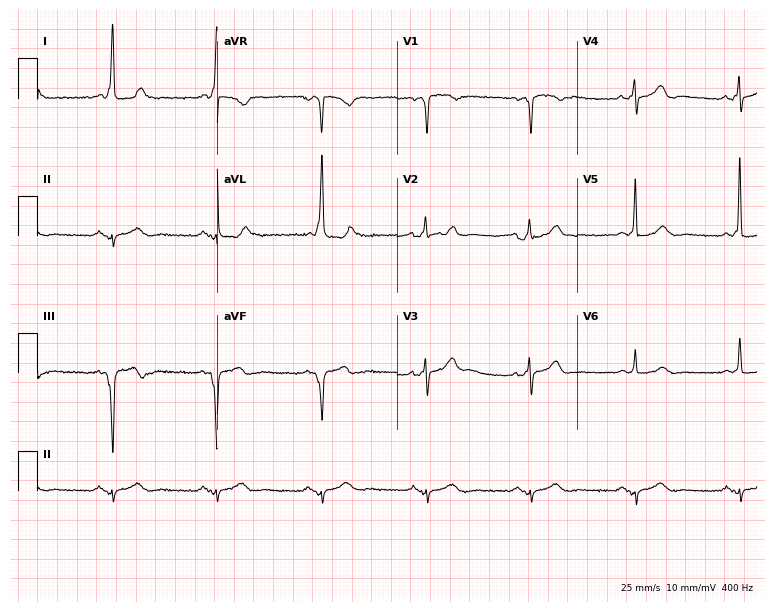
Resting 12-lead electrocardiogram (7.3-second recording at 400 Hz). Patient: a male, 71 years old. None of these six findings is recorded: first-degree AV block, right bundle branch block, left bundle branch block, sinus bradycardia, atrial fibrillation, sinus tachycardia. Findings outside these six are not listed.